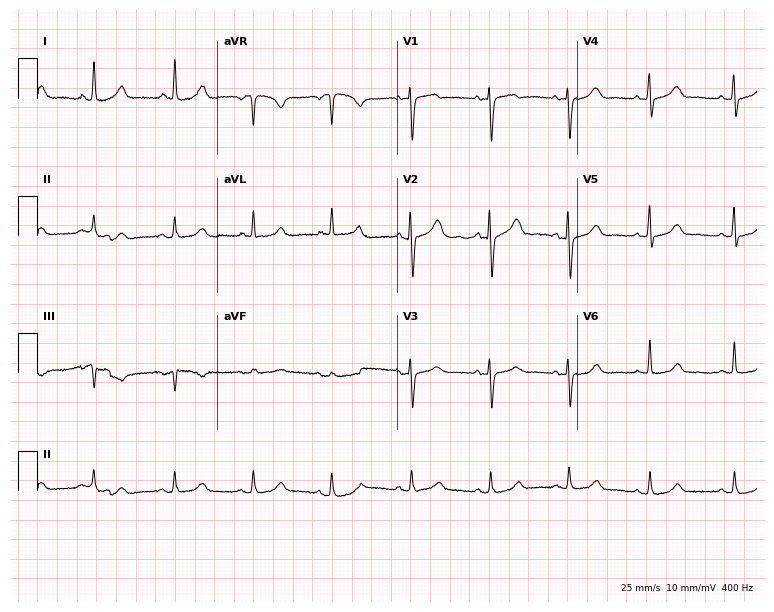
12-lead ECG (7.3-second recording at 400 Hz) from a female patient, 46 years old. Screened for six findings — first-degree AV block, right bundle branch block (RBBB), left bundle branch block (LBBB), sinus bradycardia, atrial fibrillation (AF), sinus tachycardia — none is recorded.